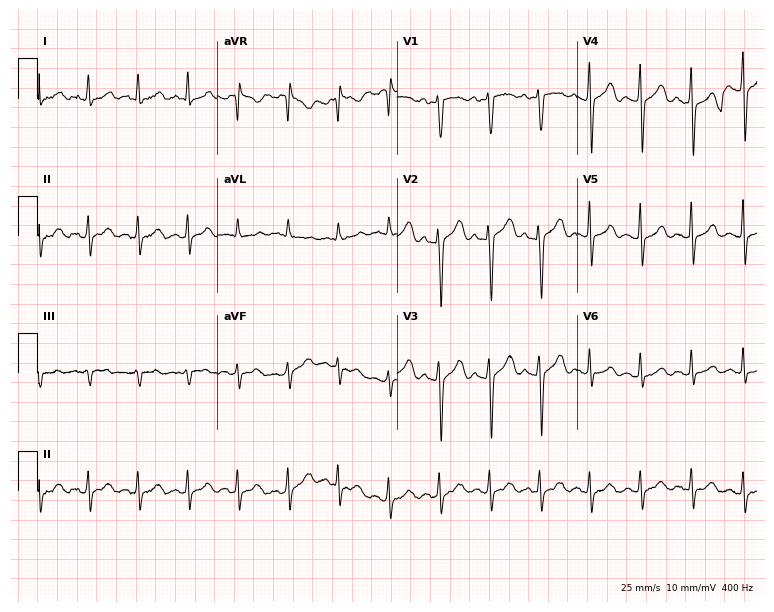
Resting 12-lead electrocardiogram (7.3-second recording at 400 Hz). Patient: a woman, 30 years old. The tracing shows sinus tachycardia (a sinus rate of 100 beats per minute or more).